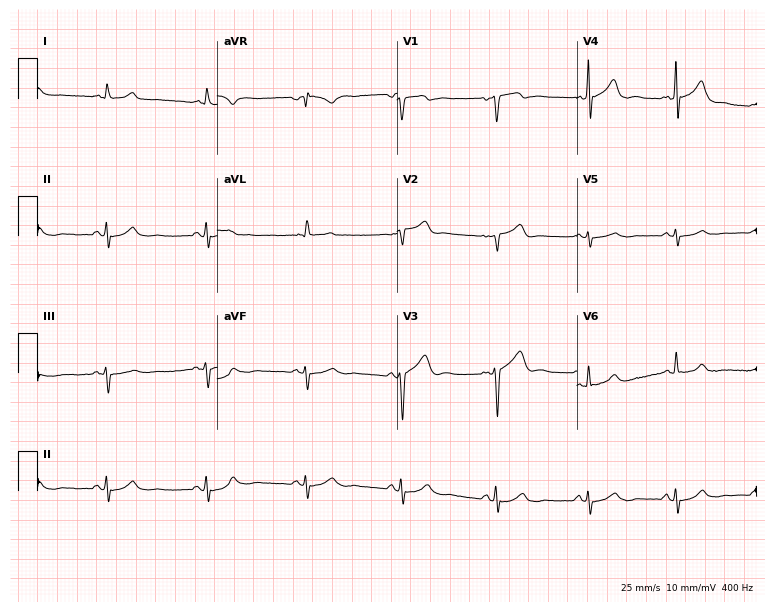
ECG (7.3-second recording at 400 Hz) — a man, 61 years old. Screened for six findings — first-degree AV block, right bundle branch block (RBBB), left bundle branch block (LBBB), sinus bradycardia, atrial fibrillation (AF), sinus tachycardia — none is recorded. Findings outside these six are not listed.